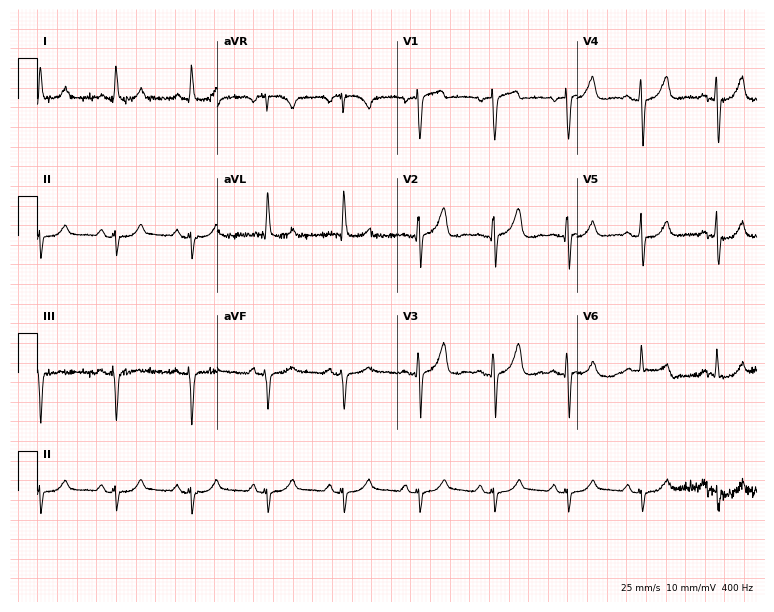
Standard 12-lead ECG recorded from a man, 75 years old (7.3-second recording at 400 Hz). None of these six findings is recorded: first-degree AV block, right bundle branch block (RBBB), left bundle branch block (LBBB), sinus bradycardia, atrial fibrillation (AF), sinus tachycardia.